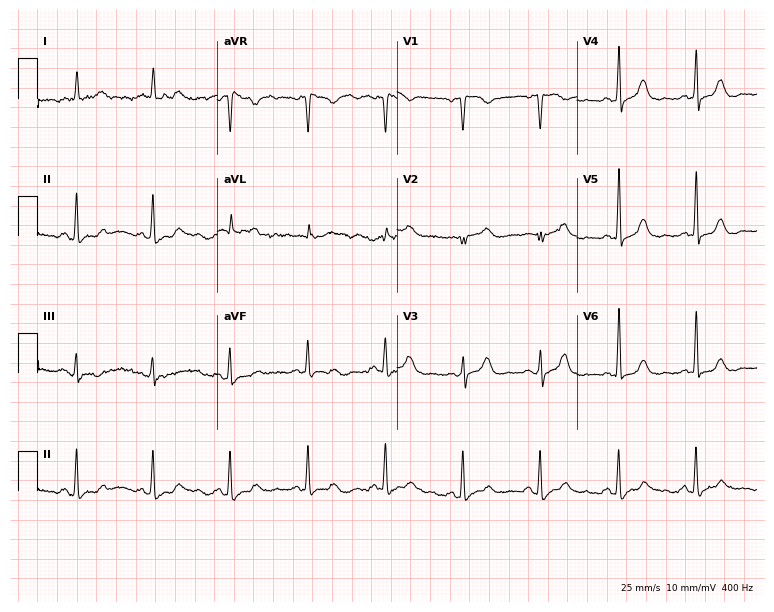
Electrocardiogram, an 80-year-old female. Of the six screened findings (first-degree AV block, right bundle branch block, left bundle branch block, sinus bradycardia, atrial fibrillation, sinus tachycardia), none is recorded.